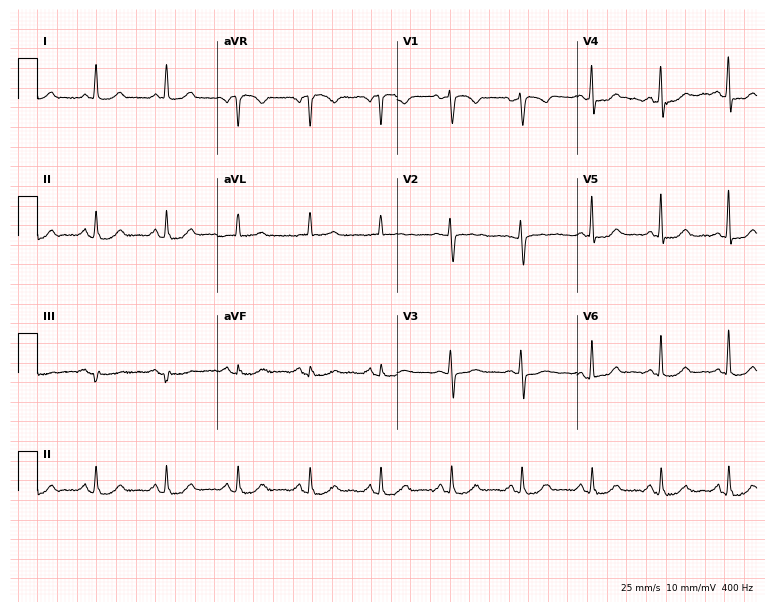
Electrocardiogram, a 63-year-old female patient. Overall reading on record: normal ECG.